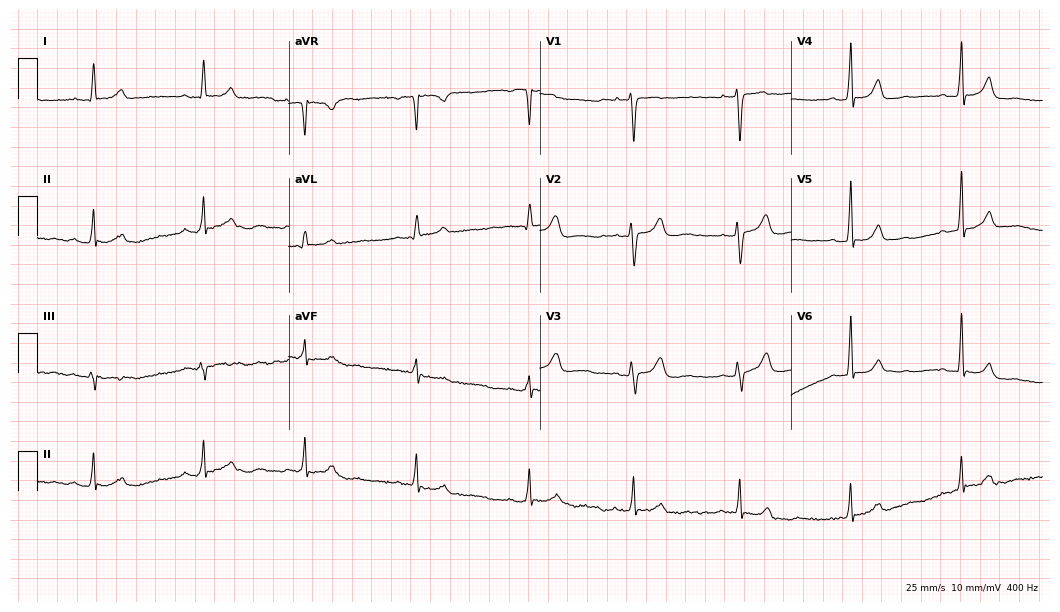
ECG — a 64-year-old woman. Screened for six findings — first-degree AV block, right bundle branch block (RBBB), left bundle branch block (LBBB), sinus bradycardia, atrial fibrillation (AF), sinus tachycardia — none is recorded. Only these six findings were labelled.